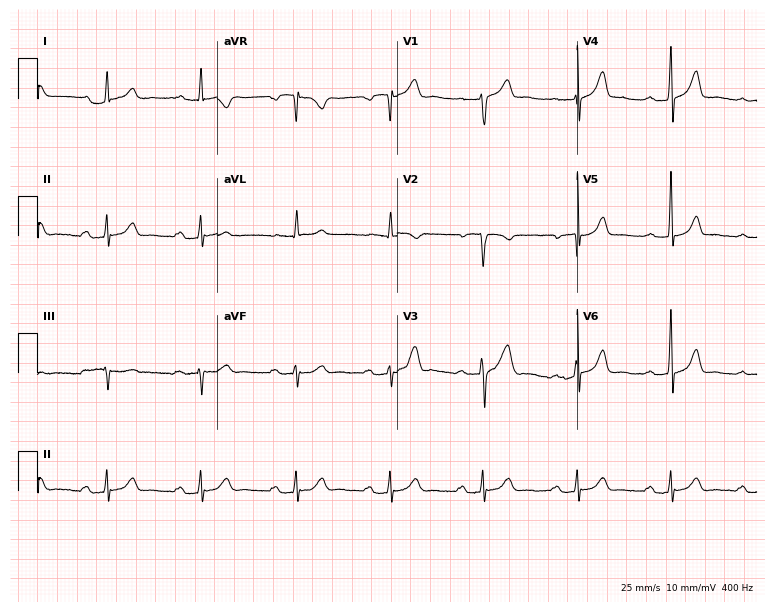
ECG (7.3-second recording at 400 Hz) — a 59-year-old male. Findings include first-degree AV block.